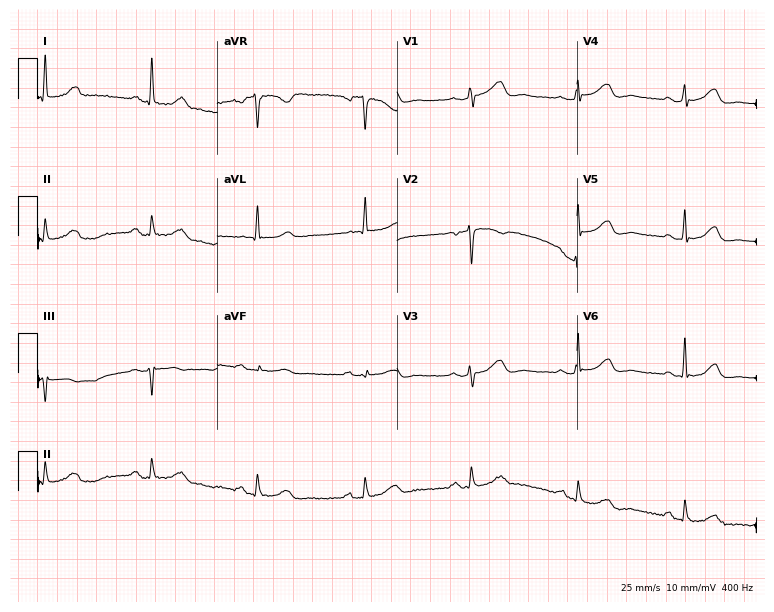
Resting 12-lead electrocardiogram (7.3-second recording at 400 Hz). Patient: a 69-year-old female. None of these six findings is recorded: first-degree AV block, right bundle branch block (RBBB), left bundle branch block (LBBB), sinus bradycardia, atrial fibrillation (AF), sinus tachycardia.